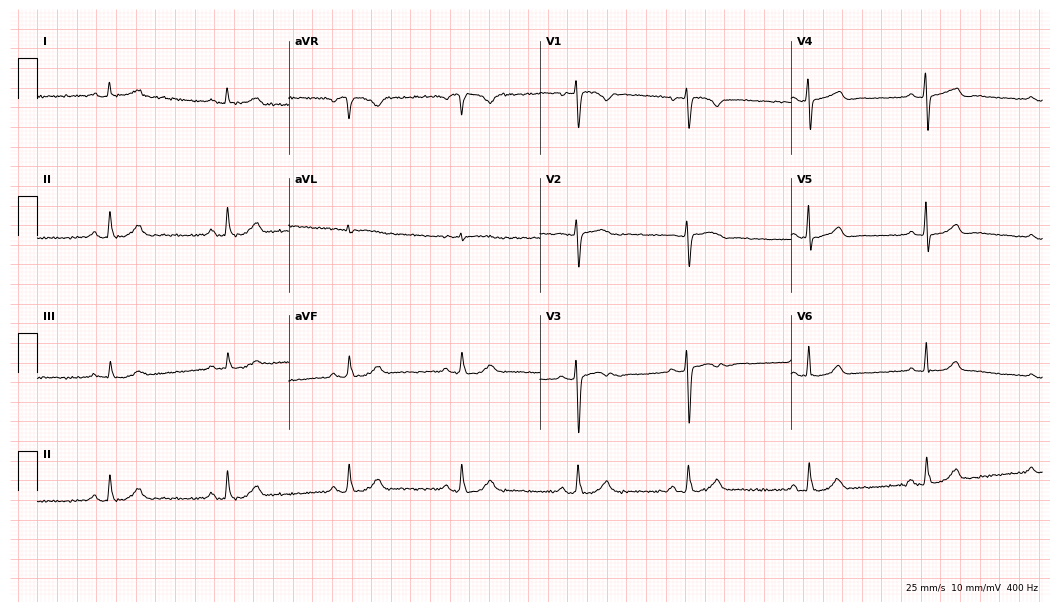
Electrocardiogram, a female patient, 53 years old. Overall reading on record: normal ECG.